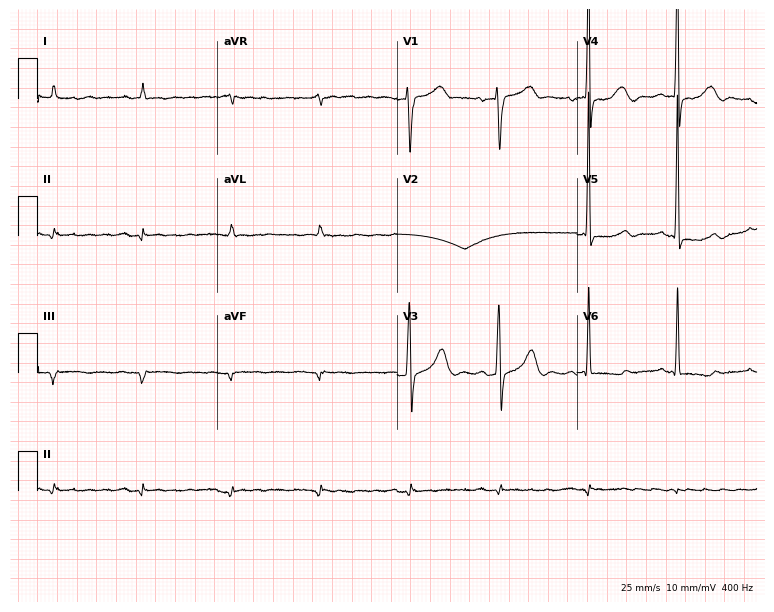
Standard 12-lead ECG recorded from an 81-year-old male. None of these six findings is recorded: first-degree AV block, right bundle branch block, left bundle branch block, sinus bradycardia, atrial fibrillation, sinus tachycardia.